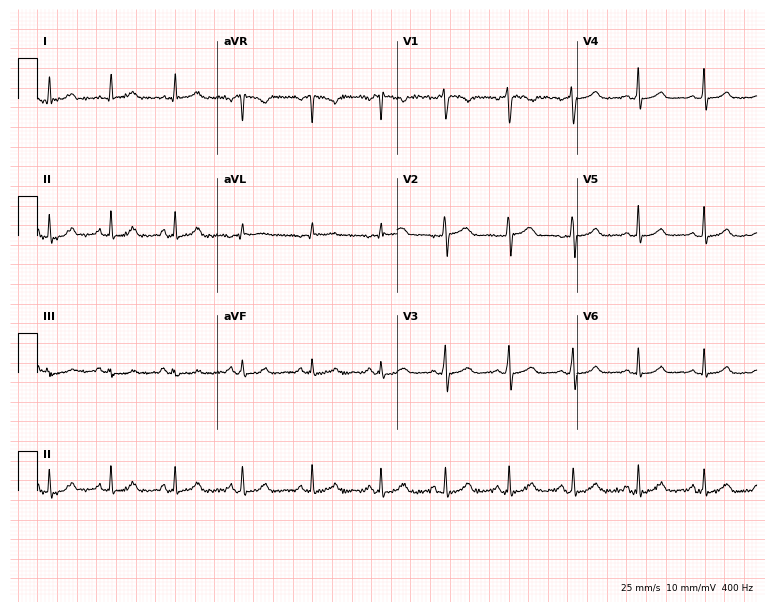
12-lead ECG from a 44-year-old female patient (7.3-second recording at 400 Hz). Recorded interpretation: within normal limits.